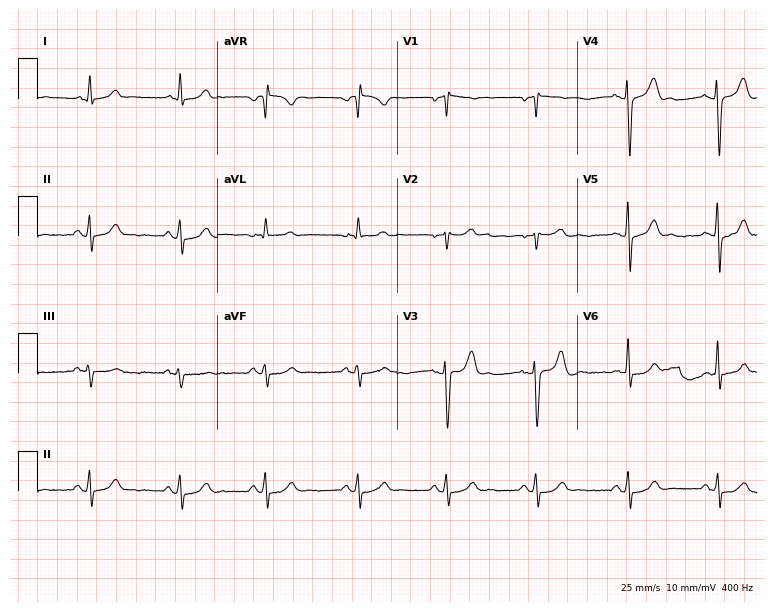
12-lead ECG from a male, 54 years old (7.3-second recording at 400 Hz). Recorded interpretation: within normal limits.